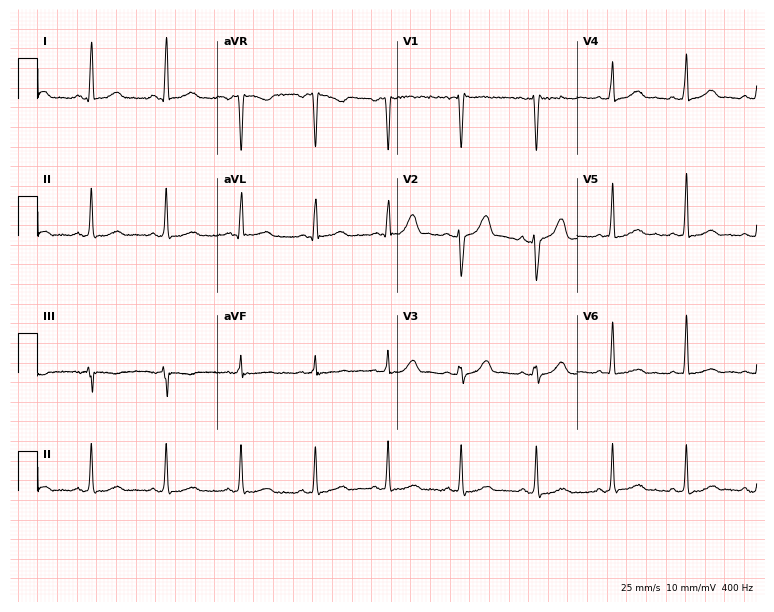
Standard 12-lead ECG recorded from a female patient, 40 years old (7.3-second recording at 400 Hz). Read as a normal ECG.